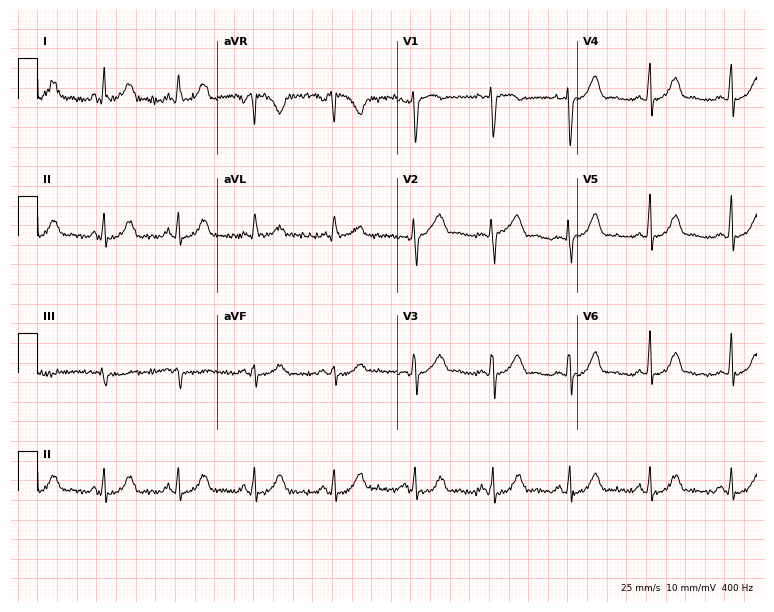
Resting 12-lead electrocardiogram (7.3-second recording at 400 Hz). Patient: a 44-year-old female. Read as a normal ECG.